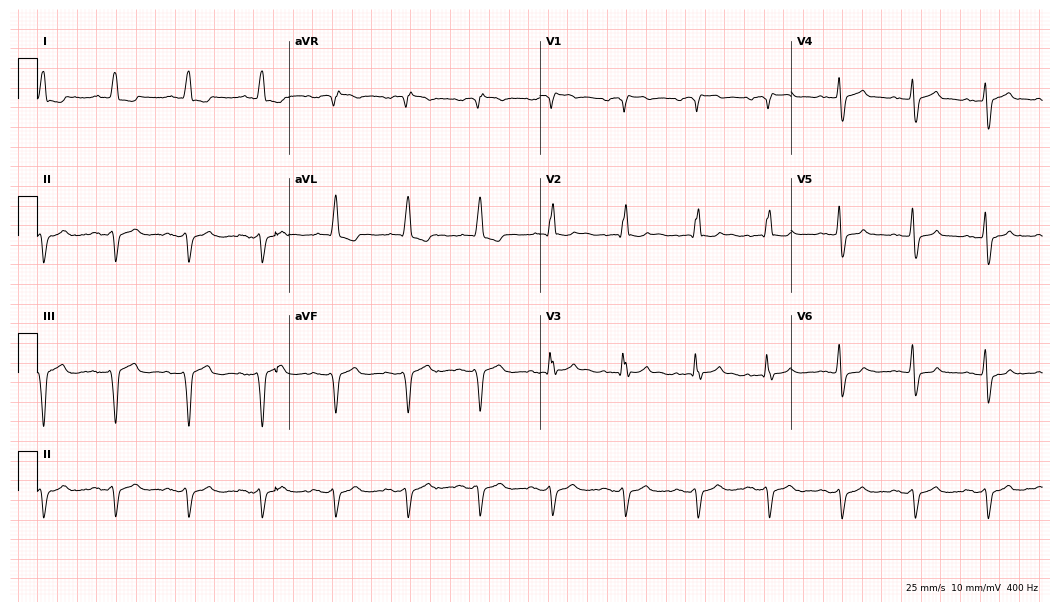
Resting 12-lead electrocardiogram (10.2-second recording at 400 Hz). Patient: a 65-year-old man. None of these six findings is recorded: first-degree AV block, right bundle branch block, left bundle branch block, sinus bradycardia, atrial fibrillation, sinus tachycardia. Findings outside these six are not listed.